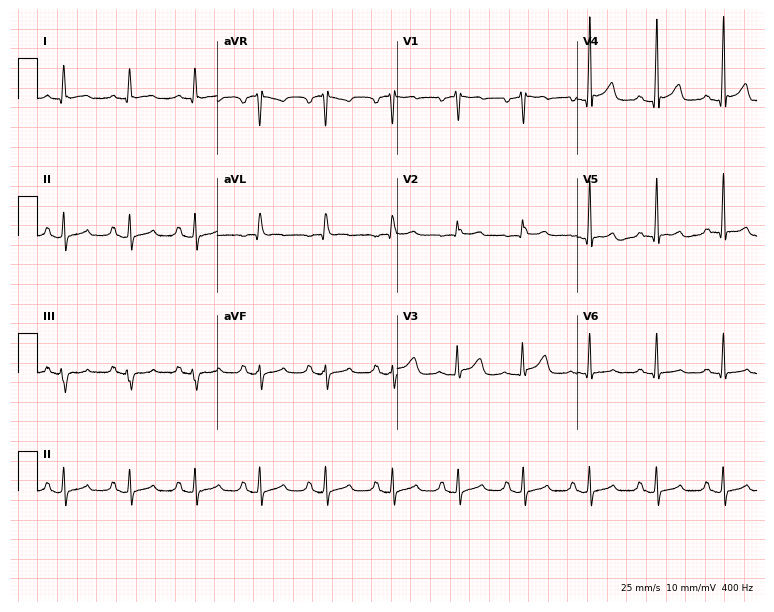
12-lead ECG (7.3-second recording at 400 Hz) from a male, 38 years old. Screened for six findings — first-degree AV block, right bundle branch block, left bundle branch block, sinus bradycardia, atrial fibrillation, sinus tachycardia — none is recorded. Findings outside these six are not listed.